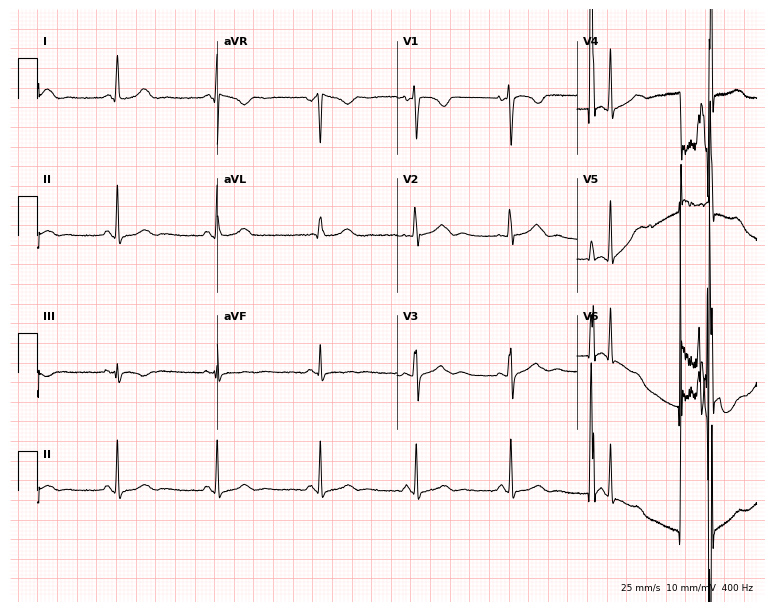
12-lead ECG from a 42-year-old female. Screened for six findings — first-degree AV block, right bundle branch block, left bundle branch block, sinus bradycardia, atrial fibrillation, sinus tachycardia — none is recorded.